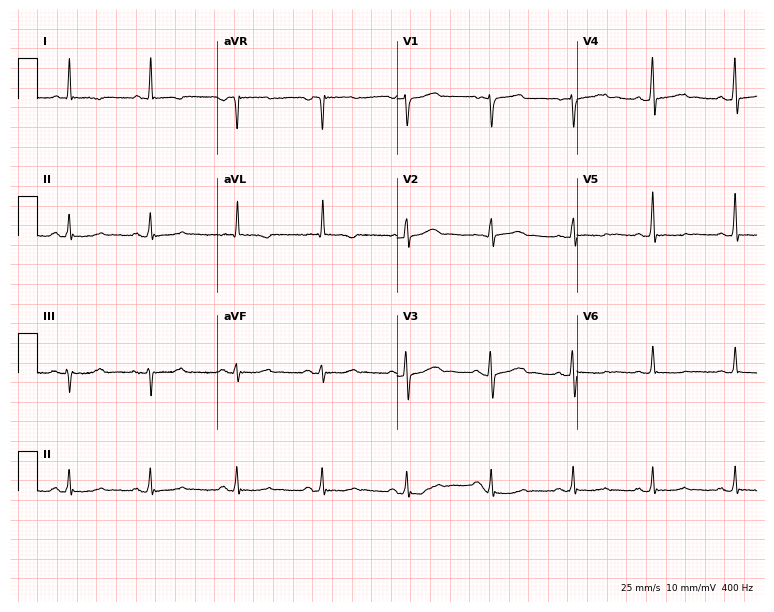
12-lead ECG from a 77-year-old female (7.3-second recording at 400 Hz). No first-degree AV block, right bundle branch block, left bundle branch block, sinus bradycardia, atrial fibrillation or sinus tachycardia recorded for this tracing. Only these six findings were labelled.